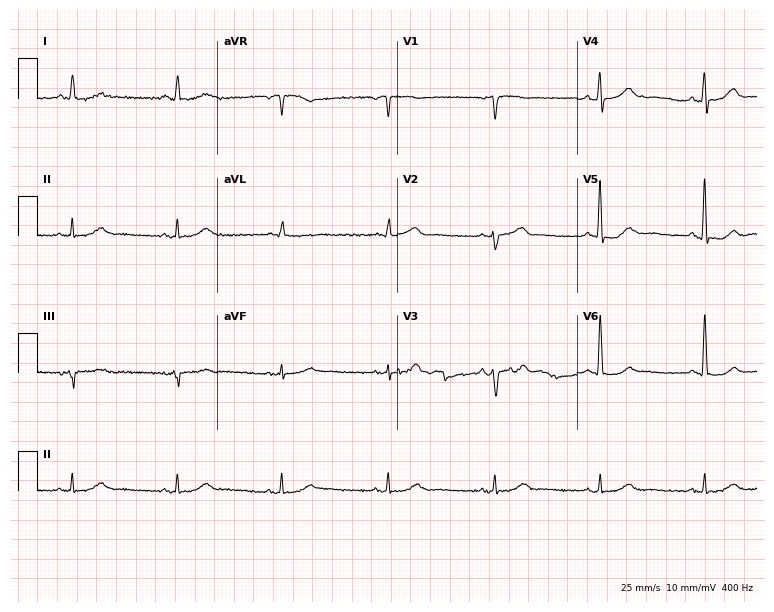
12-lead ECG from a 79-year-old male (7.3-second recording at 400 Hz). Recorded interpretation: within normal limits.